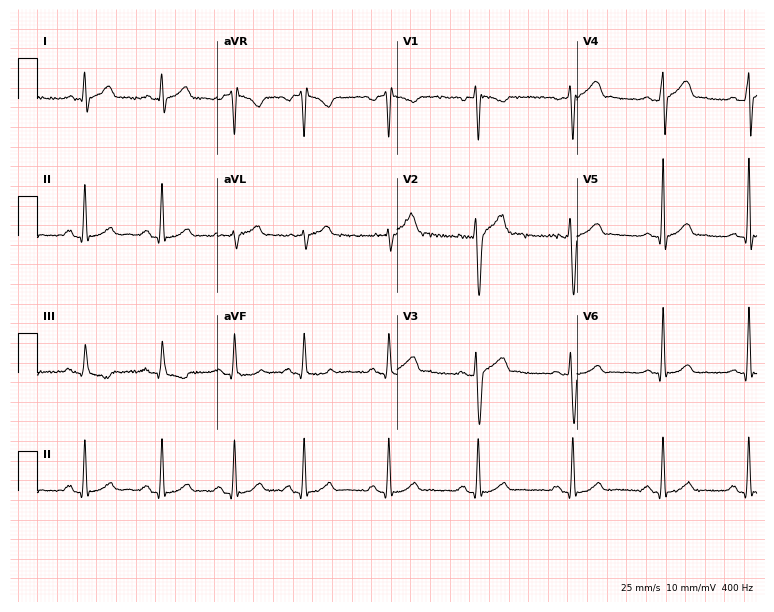
Standard 12-lead ECG recorded from a male patient, 28 years old. Read as a normal ECG.